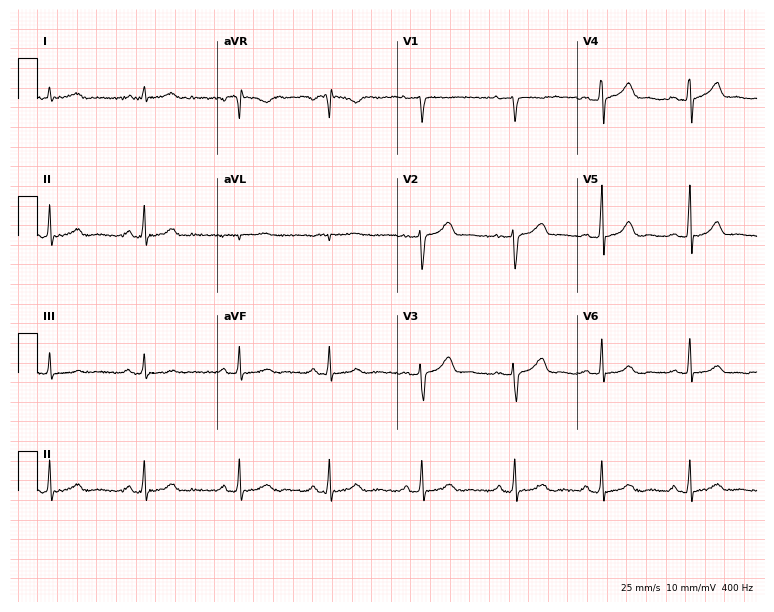
ECG (7.3-second recording at 400 Hz) — a woman, 42 years old. Screened for six findings — first-degree AV block, right bundle branch block, left bundle branch block, sinus bradycardia, atrial fibrillation, sinus tachycardia — none is recorded. Only these six findings were labelled.